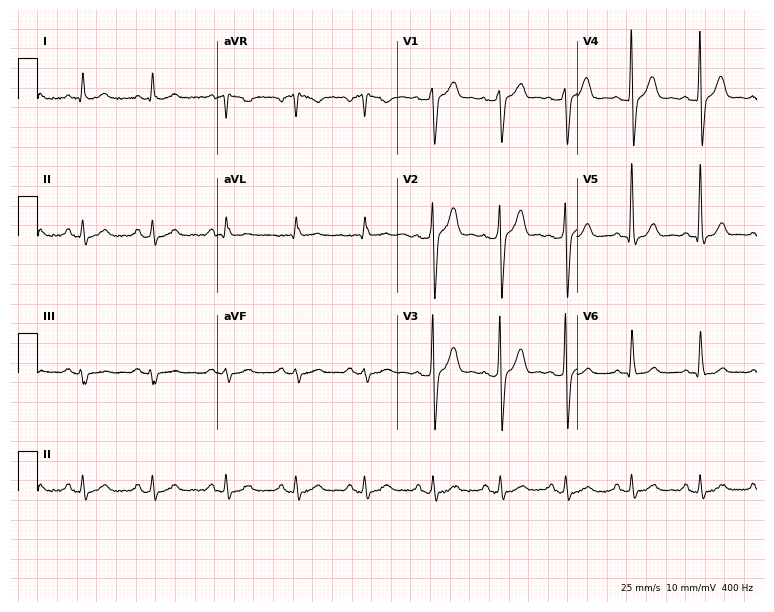
Electrocardiogram (7.3-second recording at 400 Hz), a 58-year-old male patient. Of the six screened findings (first-degree AV block, right bundle branch block (RBBB), left bundle branch block (LBBB), sinus bradycardia, atrial fibrillation (AF), sinus tachycardia), none is recorded.